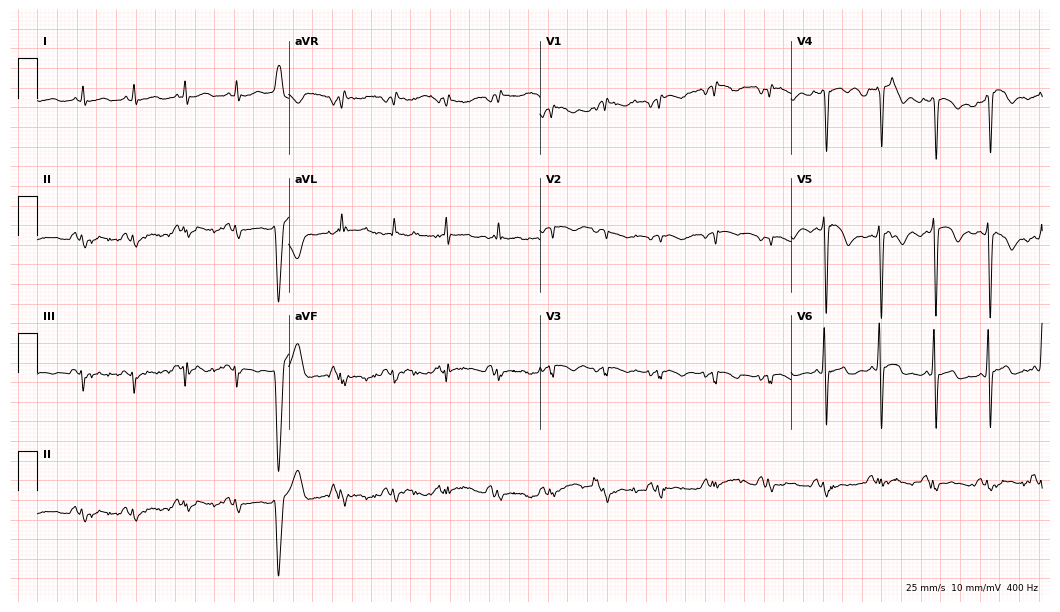
12-lead ECG from a woman, 72 years old. Screened for six findings — first-degree AV block, right bundle branch block, left bundle branch block, sinus bradycardia, atrial fibrillation, sinus tachycardia — none is recorded.